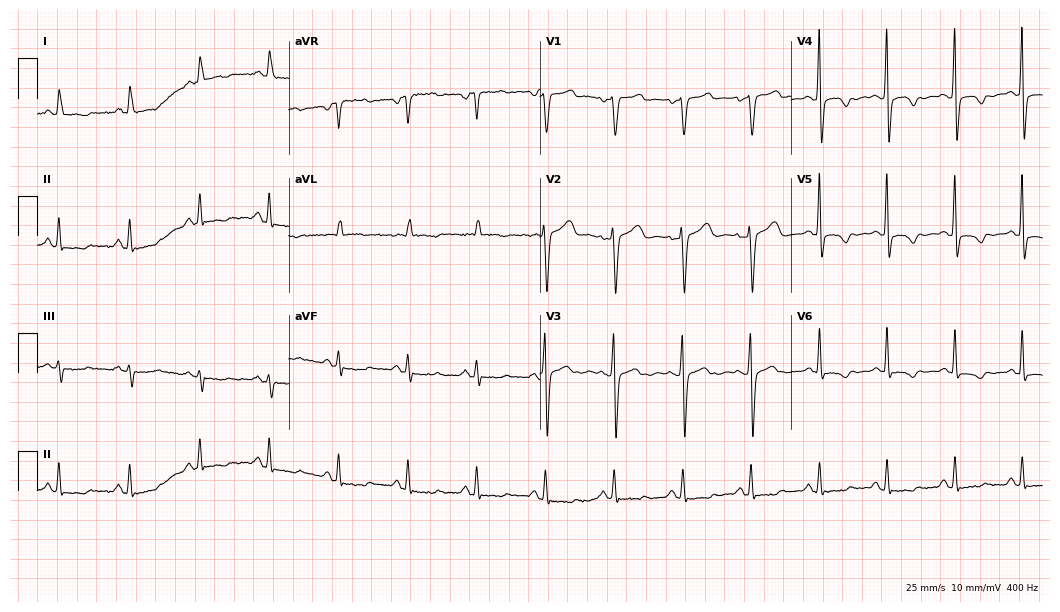
12-lead ECG from a female patient, 70 years old. No first-degree AV block, right bundle branch block, left bundle branch block, sinus bradycardia, atrial fibrillation or sinus tachycardia recorded for this tracing. Findings outside these six are not listed.